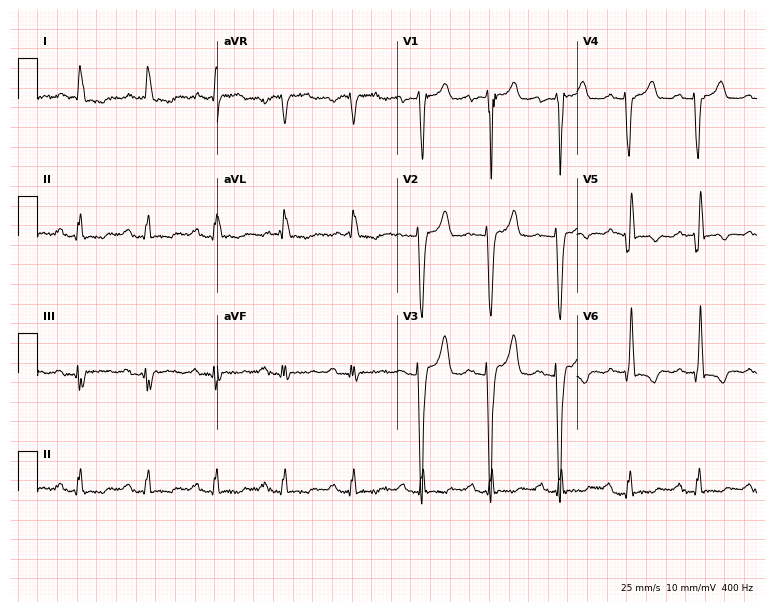
Standard 12-lead ECG recorded from a 77-year-old female (7.3-second recording at 400 Hz). The tracing shows first-degree AV block.